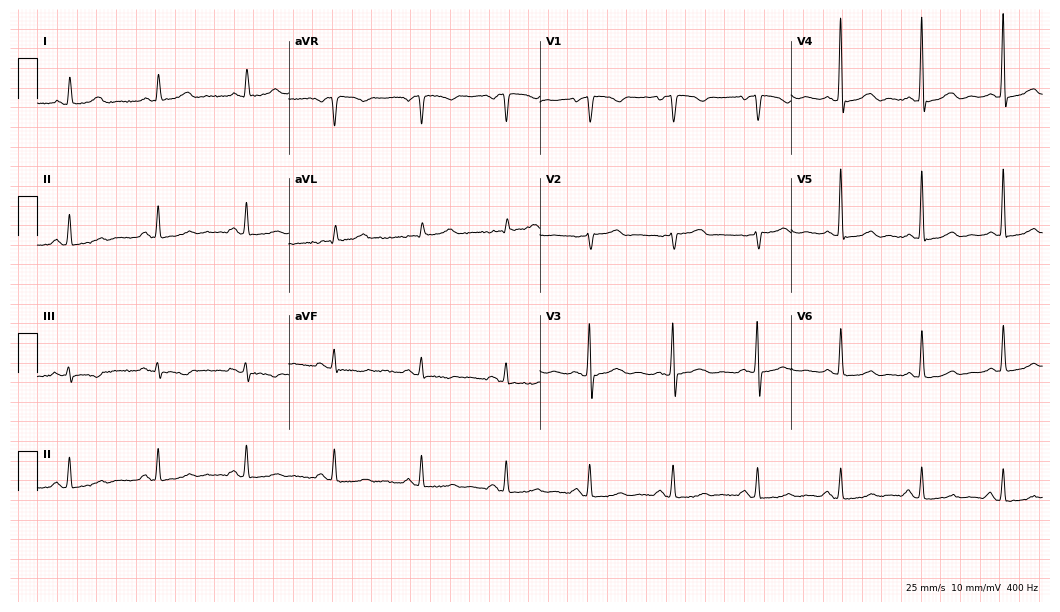
Electrocardiogram, a 61-year-old woman. Of the six screened findings (first-degree AV block, right bundle branch block, left bundle branch block, sinus bradycardia, atrial fibrillation, sinus tachycardia), none is recorded. Only these six findings were labelled.